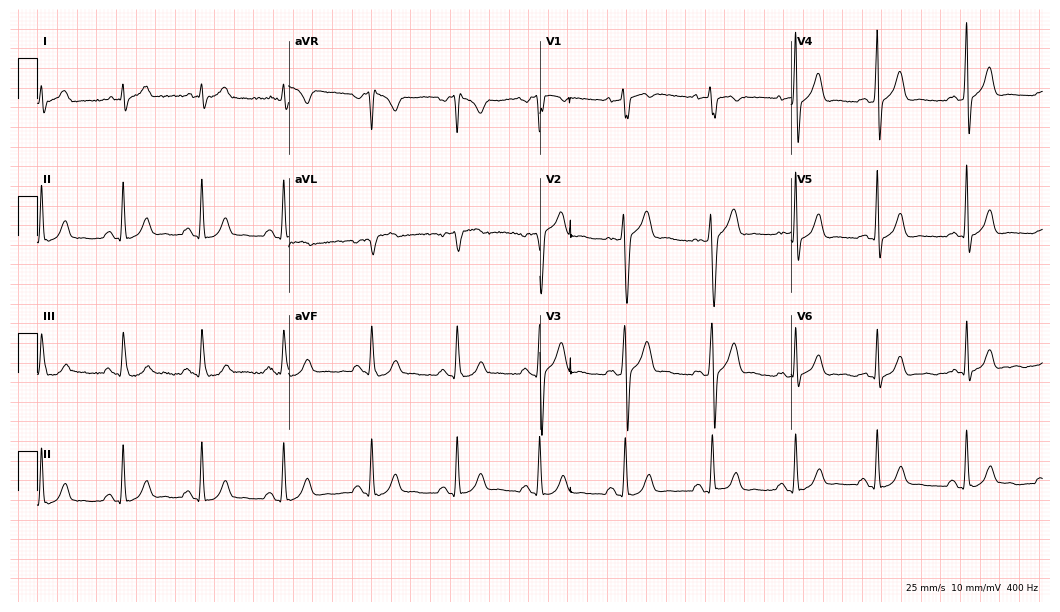
ECG — a 24-year-old male patient. Labelled as a normal ECG.